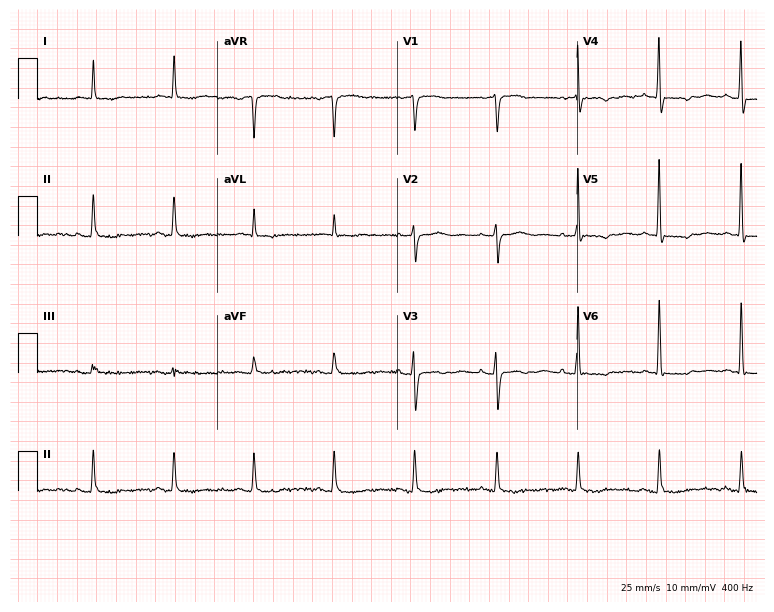
Standard 12-lead ECG recorded from an 83-year-old female patient. None of these six findings is recorded: first-degree AV block, right bundle branch block (RBBB), left bundle branch block (LBBB), sinus bradycardia, atrial fibrillation (AF), sinus tachycardia.